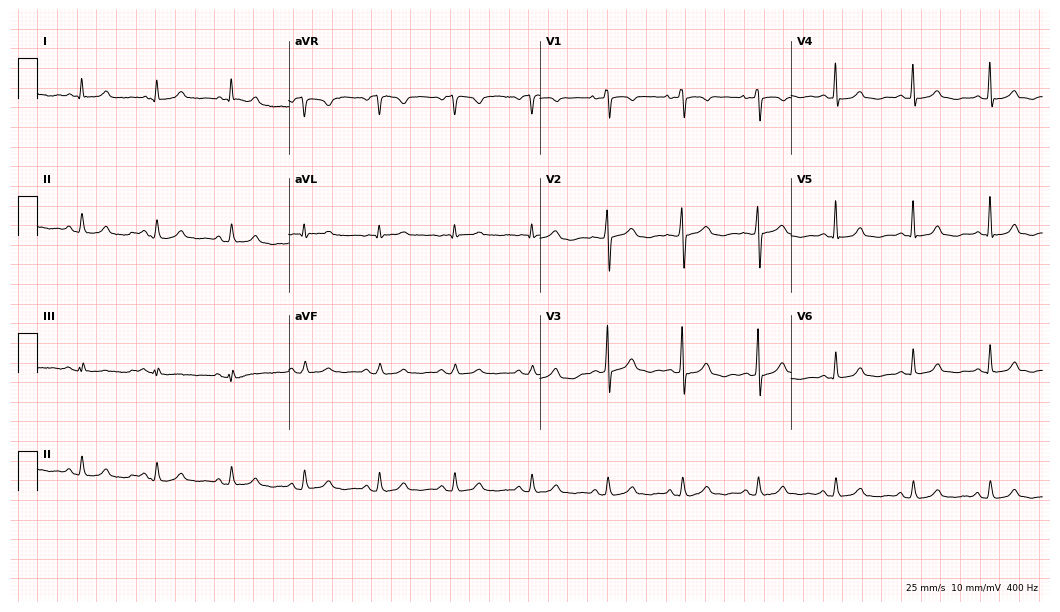
12-lead ECG from a female, 73 years old. Labelled as a normal ECG.